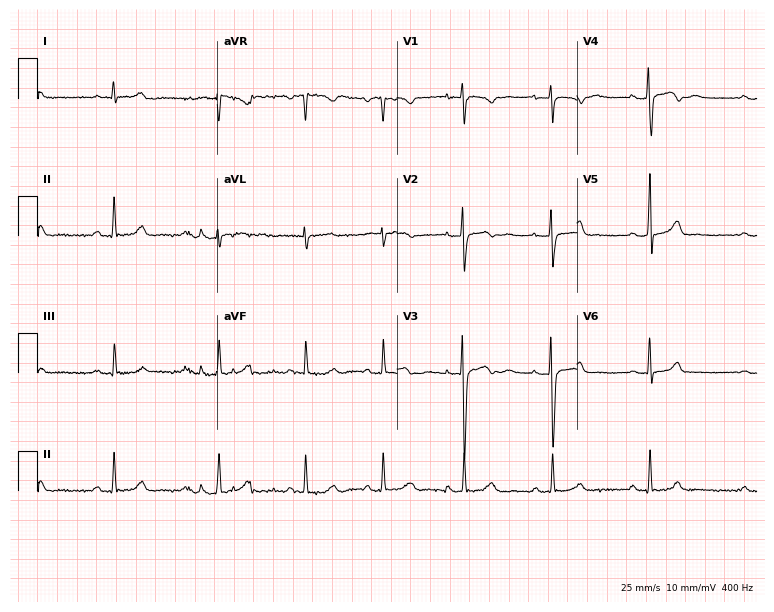
ECG — a 22-year-old female patient. Screened for six findings — first-degree AV block, right bundle branch block (RBBB), left bundle branch block (LBBB), sinus bradycardia, atrial fibrillation (AF), sinus tachycardia — none is recorded. Findings outside these six are not listed.